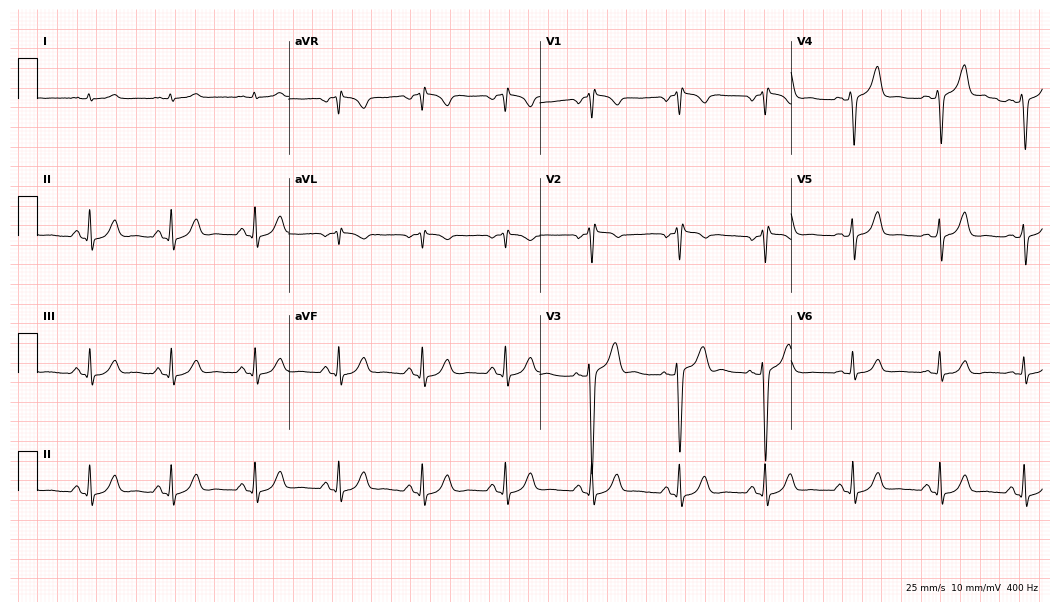
Electrocardiogram (10.2-second recording at 400 Hz), a male patient, 56 years old. Of the six screened findings (first-degree AV block, right bundle branch block, left bundle branch block, sinus bradycardia, atrial fibrillation, sinus tachycardia), none is recorded. Other findings, if any, are not listed.